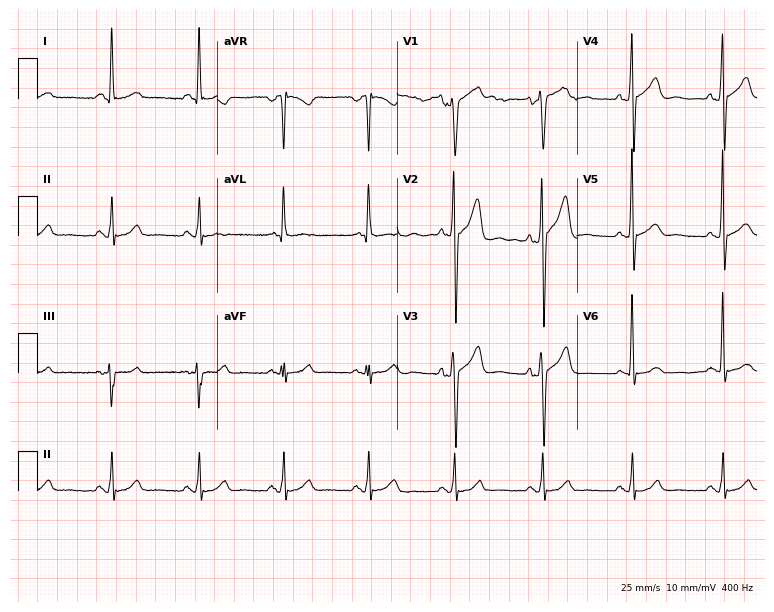
Standard 12-lead ECG recorded from a male patient, 46 years old (7.3-second recording at 400 Hz). Read as a normal ECG.